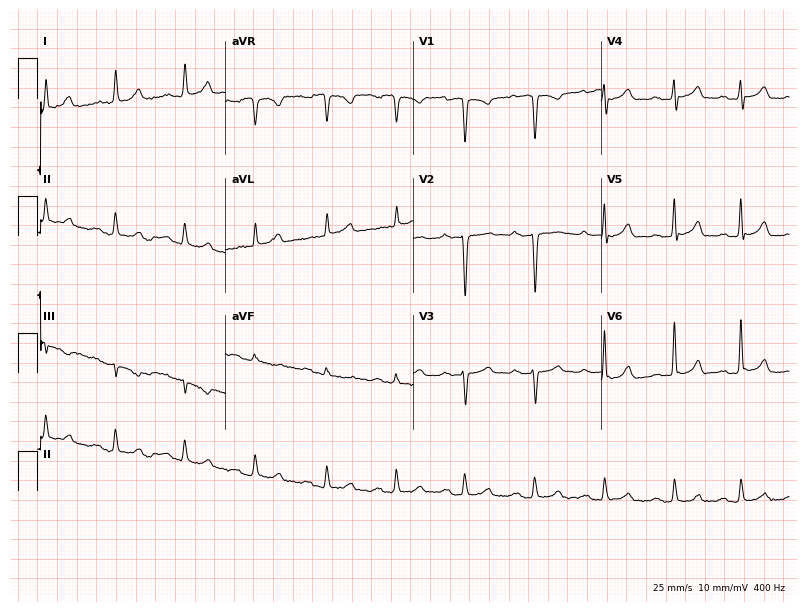
Standard 12-lead ECG recorded from a 53-year-old female. None of these six findings is recorded: first-degree AV block, right bundle branch block, left bundle branch block, sinus bradycardia, atrial fibrillation, sinus tachycardia.